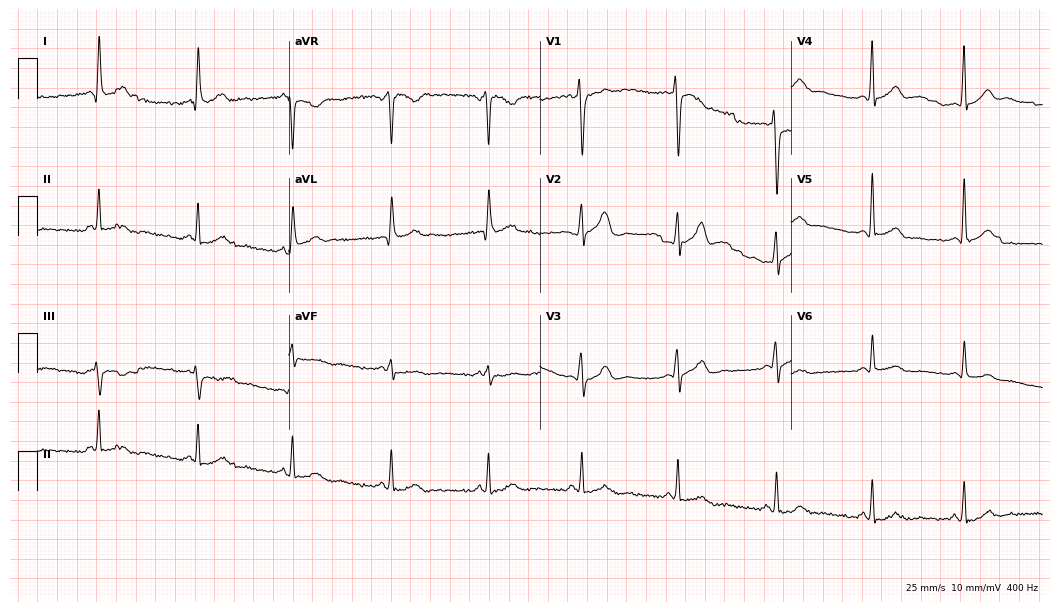
12-lead ECG (10.2-second recording at 400 Hz) from a 42-year-old female. Screened for six findings — first-degree AV block, right bundle branch block, left bundle branch block, sinus bradycardia, atrial fibrillation, sinus tachycardia — none is recorded.